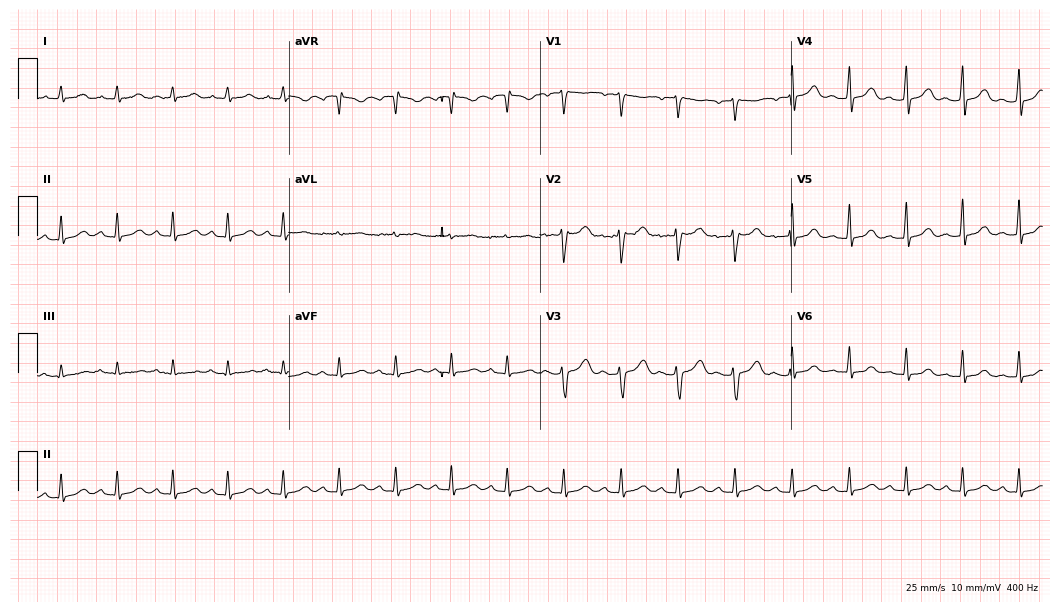
Resting 12-lead electrocardiogram (10.2-second recording at 400 Hz). Patient: a 38-year-old female. The tracing shows sinus tachycardia (a sinus rate of 100 beats per minute or more).